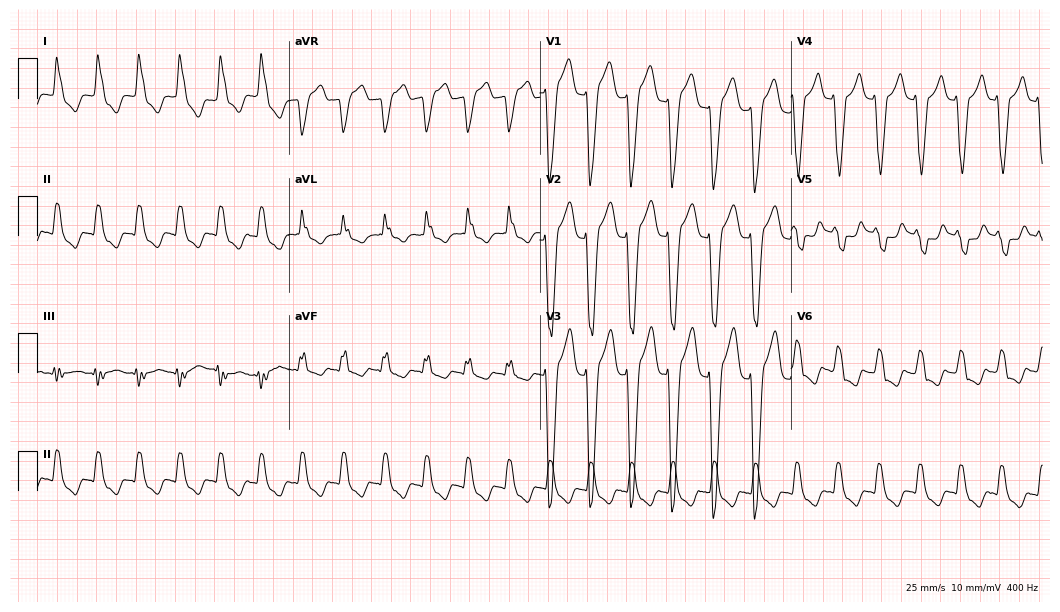
Electrocardiogram (10.2-second recording at 400 Hz), a male patient, 84 years old. Interpretation includes left bundle branch block (LBBB), sinus tachycardia (a sinus rate of 100 beats per minute or more).